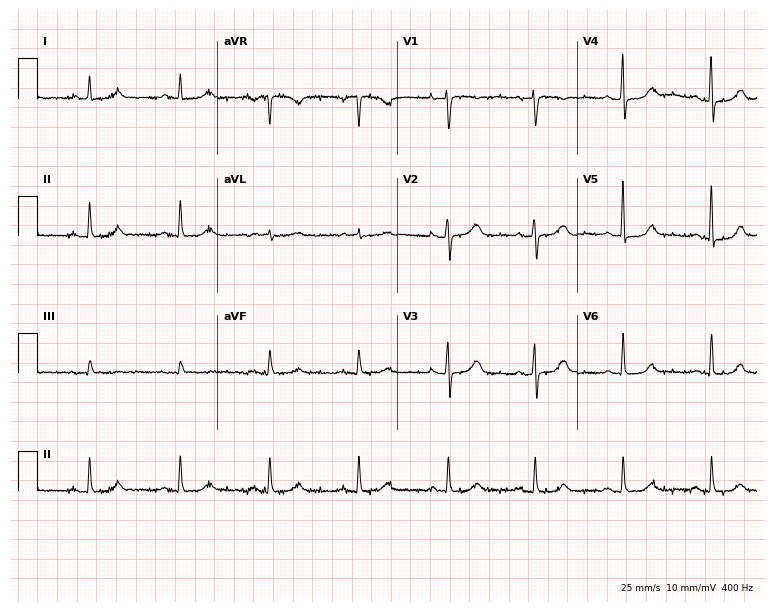
12-lead ECG from a woman, 50 years old. Recorded interpretation: within normal limits.